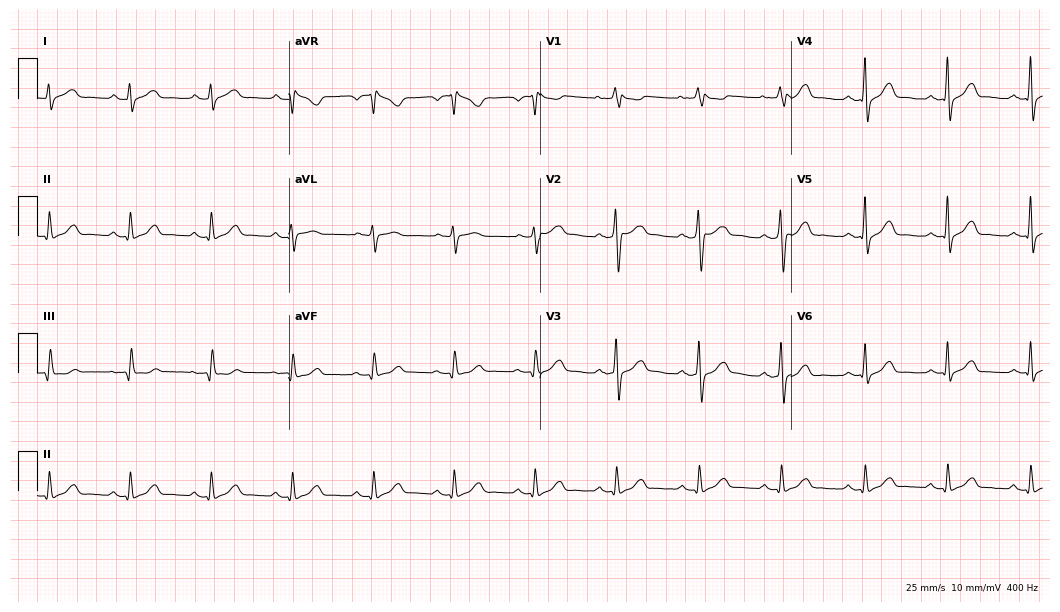
ECG — a 56-year-old female patient. Screened for six findings — first-degree AV block, right bundle branch block (RBBB), left bundle branch block (LBBB), sinus bradycardia, atrial fibrillation (AF), sinus tachycardia — none is recorded. Findings outside these six are not listed.